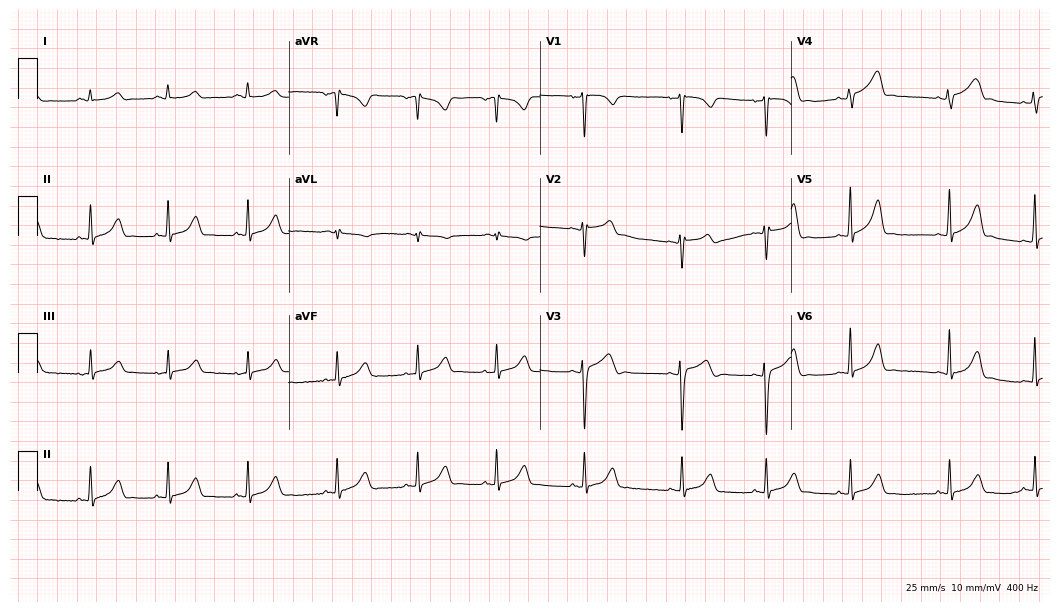
Electrocardiogram, a female, 26 years old. Of the six screened findings (first-degree AV block, right bundle branch block, left bundle branch block, sinus bradycardia, atrial fibrillation, sinus tachycardia), none is recorded. Findings outside these six are not listed.